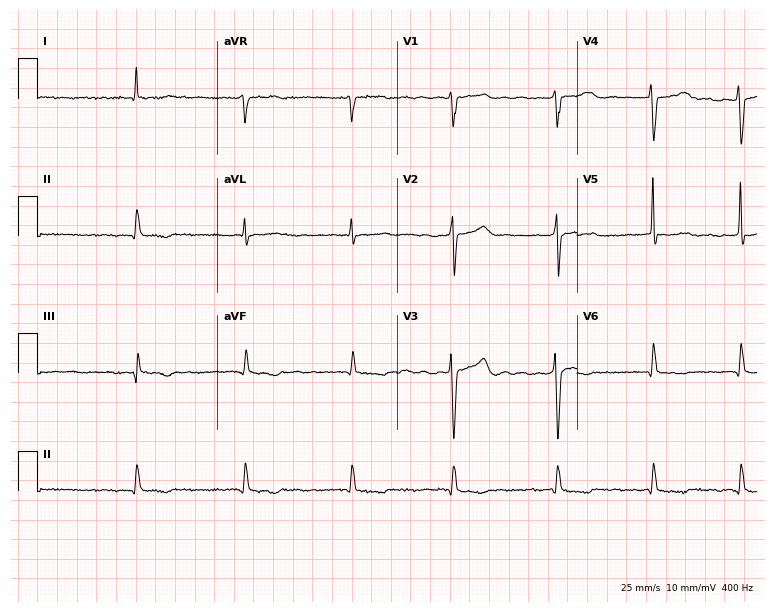
ECG (7.3-second recording at 400 Hz) — a male, 81 years old. Findings include atrial fibrillation.